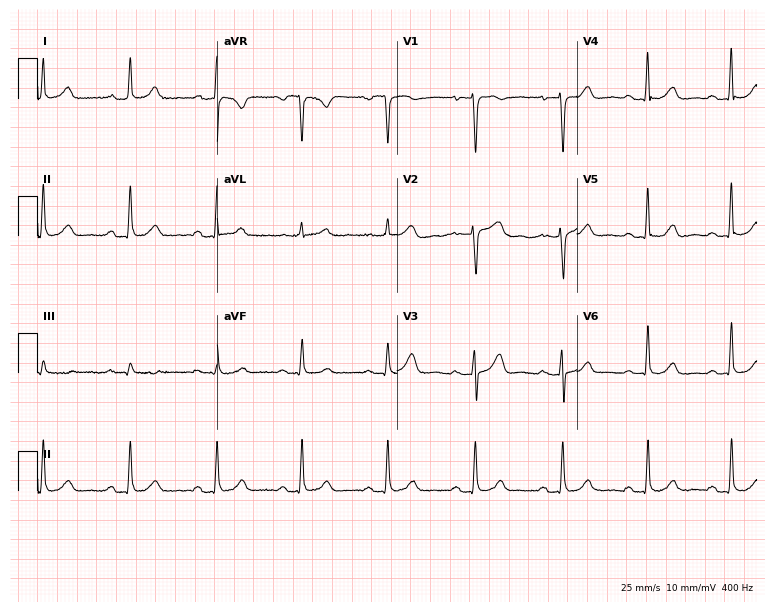
Electrocardiogram (7.3-second recording at 400 Hz), a female patient, 63 years old. Overall reading on record: normal ECG.